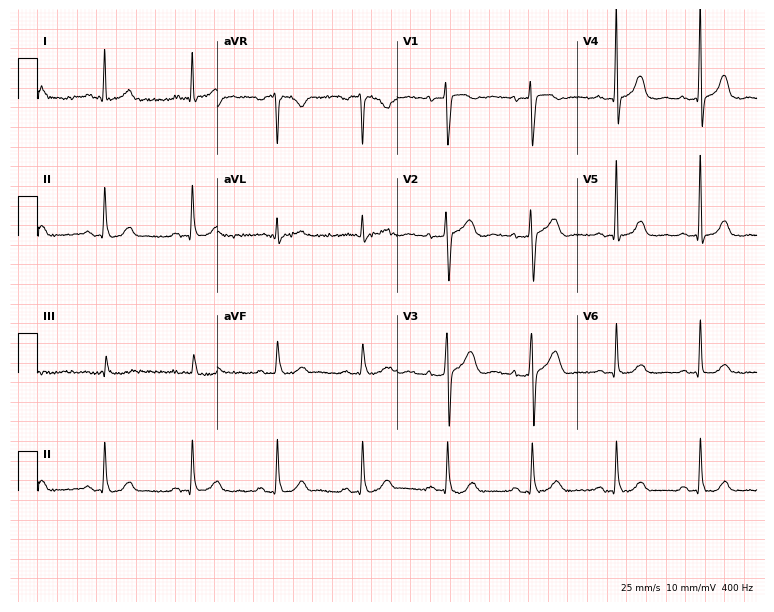
Standard 12-lead ECG recorded from a woman, 57 years old. Read as a normal ECG.